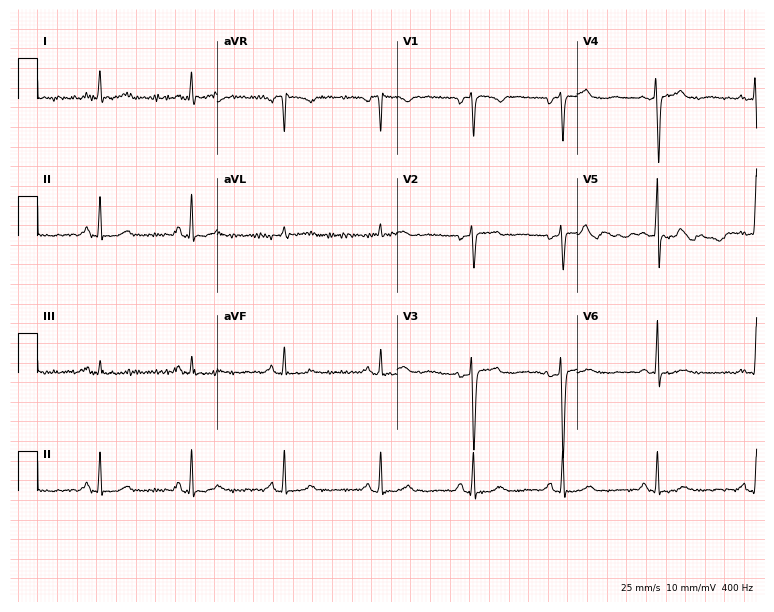
12-lead ECG (7.3-second recording at 400 Hz) from a woman, 41 years old. Labelled as a normal ECG.